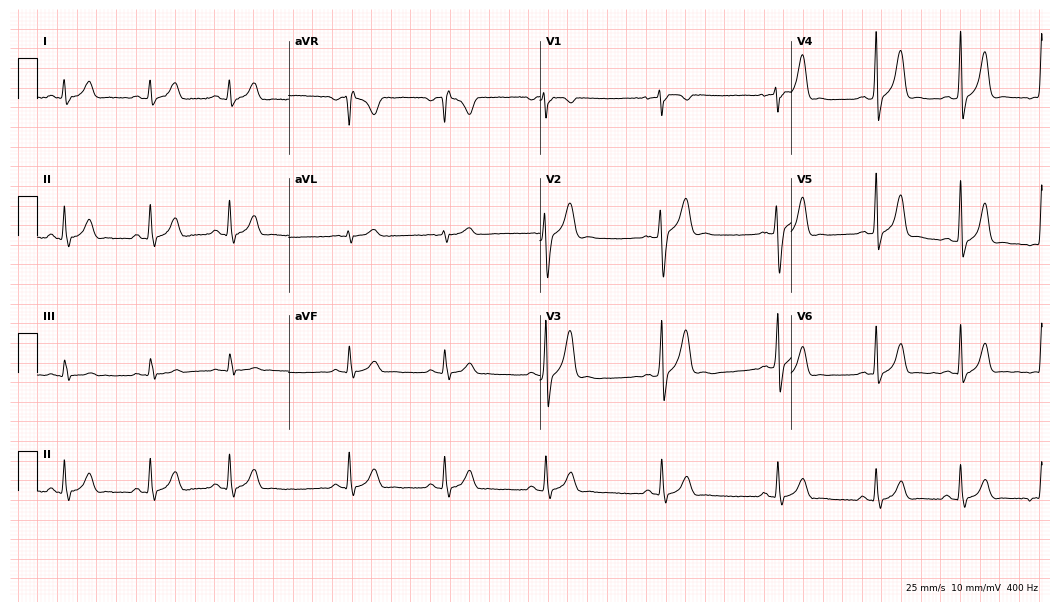
ECG — a 19-year-old man. Labelled as a normal ECG.